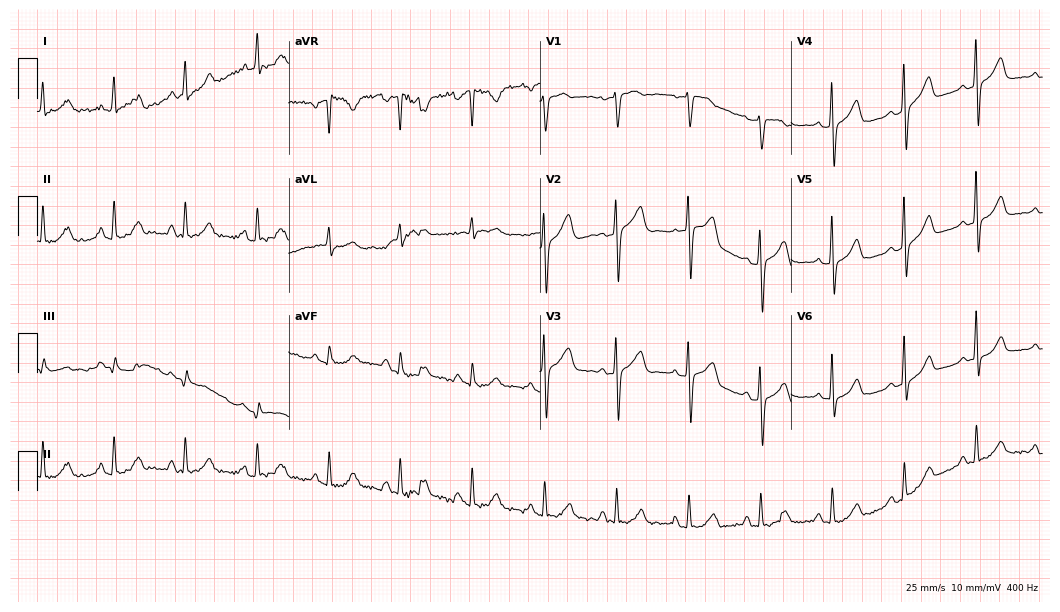
ECG — a female patient, 70 years old. Labelled as a normal ECG.